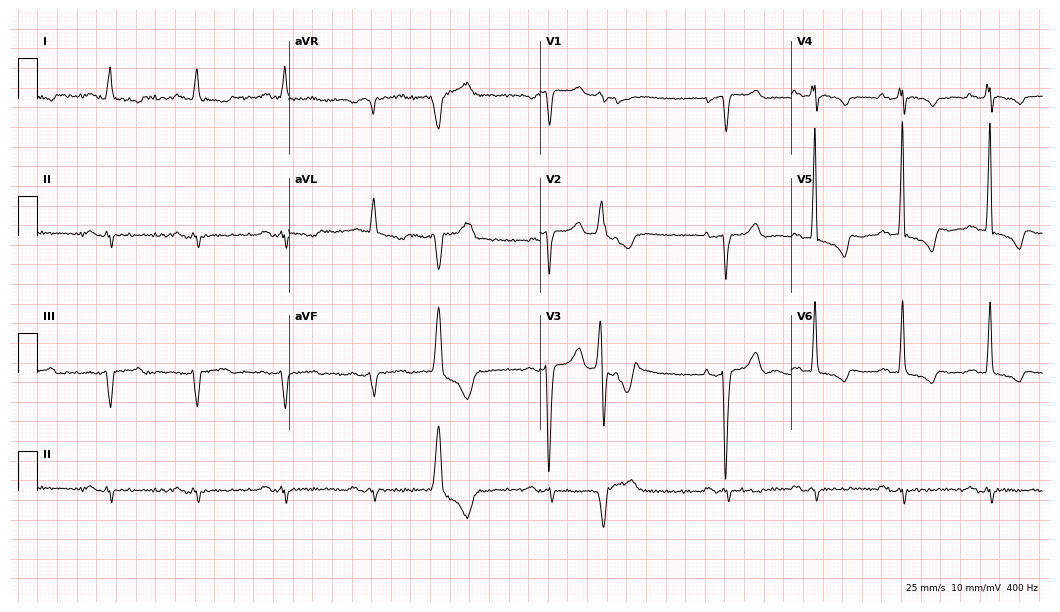
Electrocardiogram (10.2-second recording at 400 Hz), a male patient, 76 years old. Of the six screened findings (first-degree AV block, right bundle branch block, left bundle branch block, sinus bradycardia, atrial fibrillation, sinus tachycardia), none is recorded. Only these six findings were labelled.